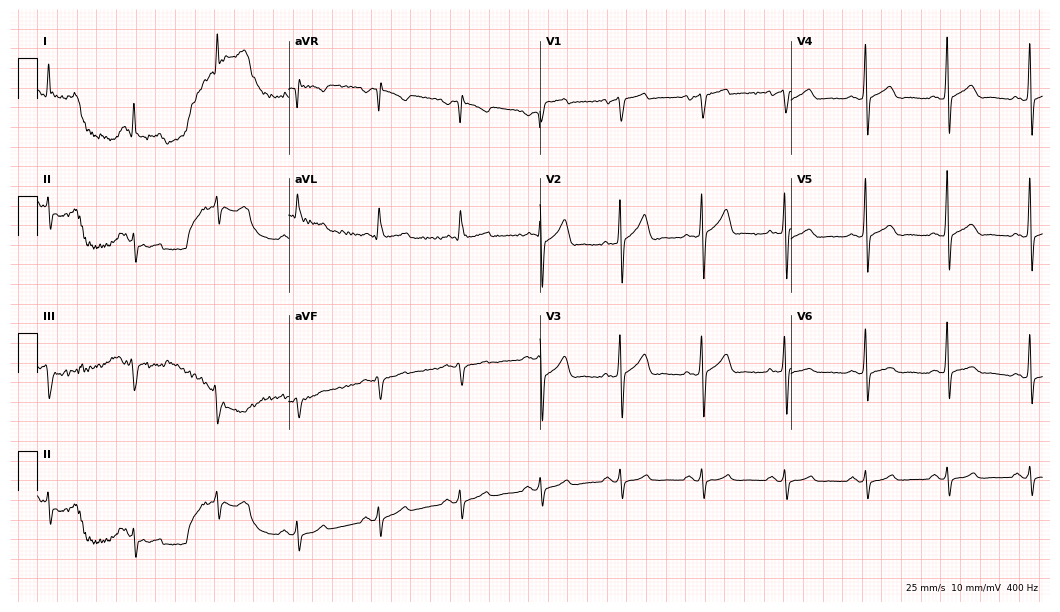
Resting 12-lead electrocardiogram (10.2-second recording at 400 Hz). Patient: a male, 48 years old. None of these six findings is recorded: first-degree AV block, right bundle branch block, left bundle branch block, sinus bradycardia, atrial fibrillation, sinus tachycardia.